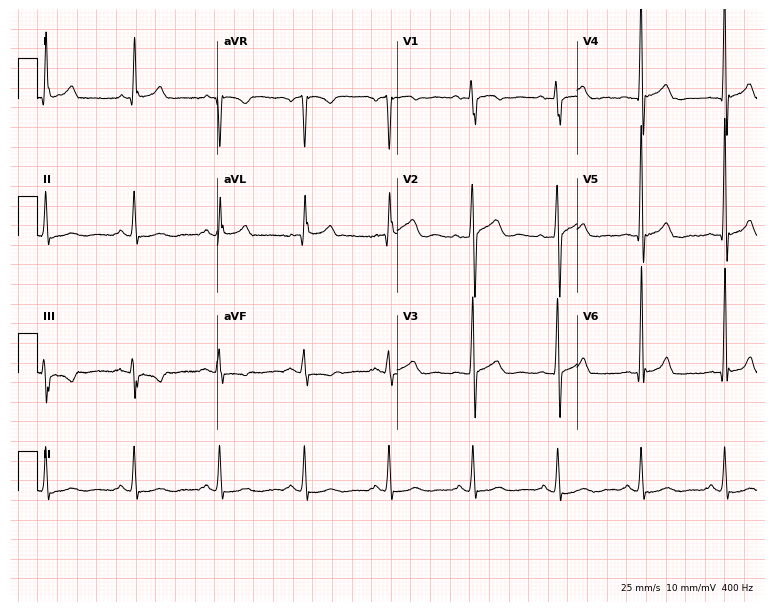
Standard 12-lead ECG recorded from a man, 46 years old. None of these six findings is recorded: first-degree AV block, right bundle branch block, left bundle branch block, sinus bradycardia, atrial fibrillation, sinus tachycardia. Only these six findings were labelled.